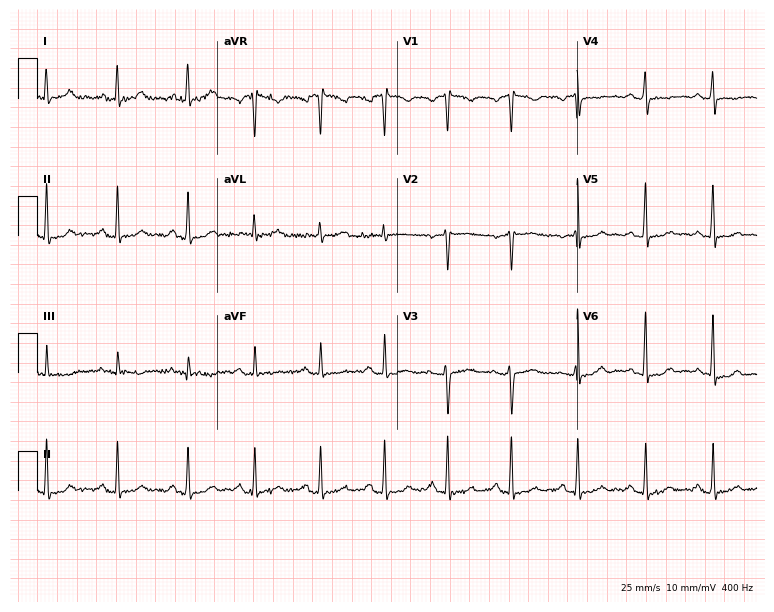
Resting 12-lead electrocardiogram. Patient: a 30-year-old woman. None of these six findings is recorded: first-degree AV block, right bundle branch block (RBBB), left bundle branch block (LBBB), sinus bradycardia, atrial fibrillation (AF), sinus tachycardia. Only these six findings were labelled.